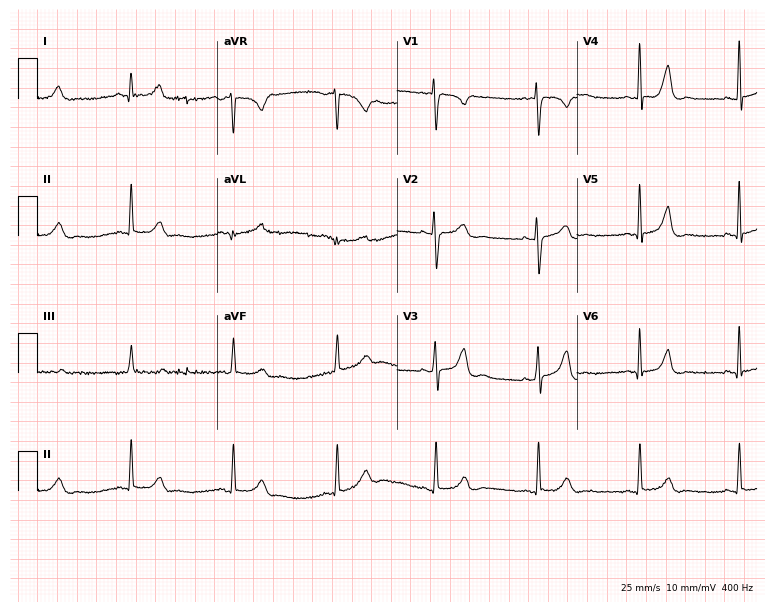
12-lead ECG (7.3-second recording at 400 Hz) from an 18-year-old female. Screened for six findings — first-degree AV block, right bundle branch block, left bundle branch block, sinus bradycardia, atrial fibrillation, sinus tachycardia — none is recorded. Other findings, if any, are not listed.